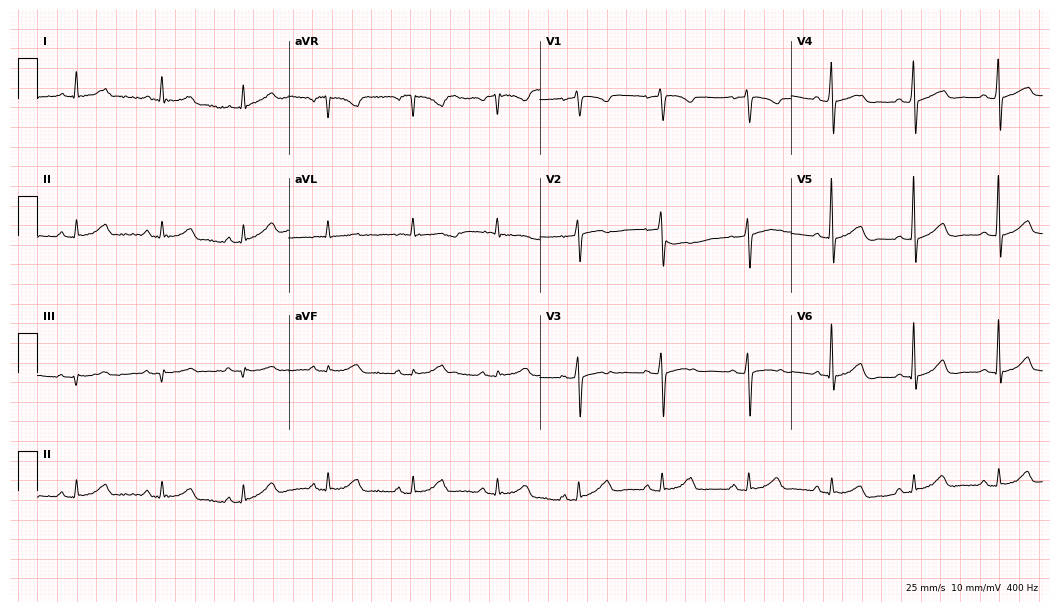
12-lead ECG from a 57-year-old woman. Labelled as a normal ECG.